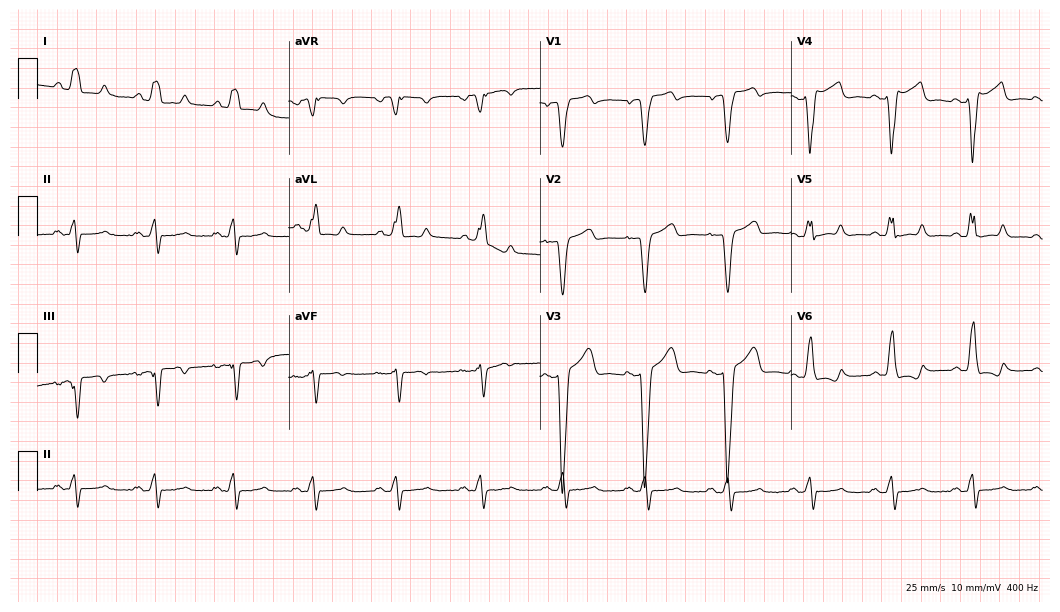
12-lead ECG (10.2-second recording at 400 Hz) from a 62-year-old man. Findings include left bundle branch block (LBBB).